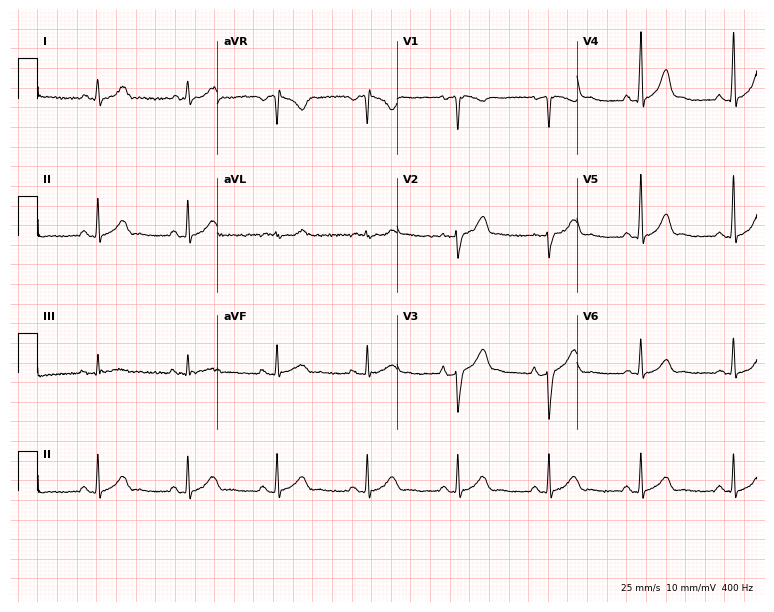
12-lead ECG from a 44-year-old male (7.3-second recording at 400 Hz). No first-degree AV block, right bundle branch block (RBBB), left bundle branch block (LBBB), sinus bradycardia, atrial fibrillation (AF) or sinus tachycardia recorded for this tracing.